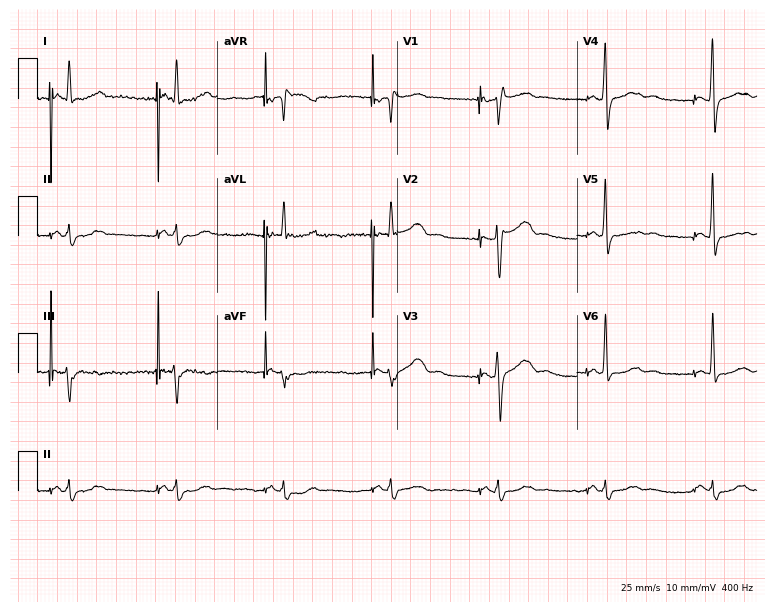
ECG (7.3-second recording at 400 Hz) — a man, 53 years old. Screened for six findings — first-degree AV block, right bundle branch block (RBBB), left bundle branch block (LBBB), sinus bradycardia, atrial fibrillation (AF), sinus tachycardia — none is recorded.